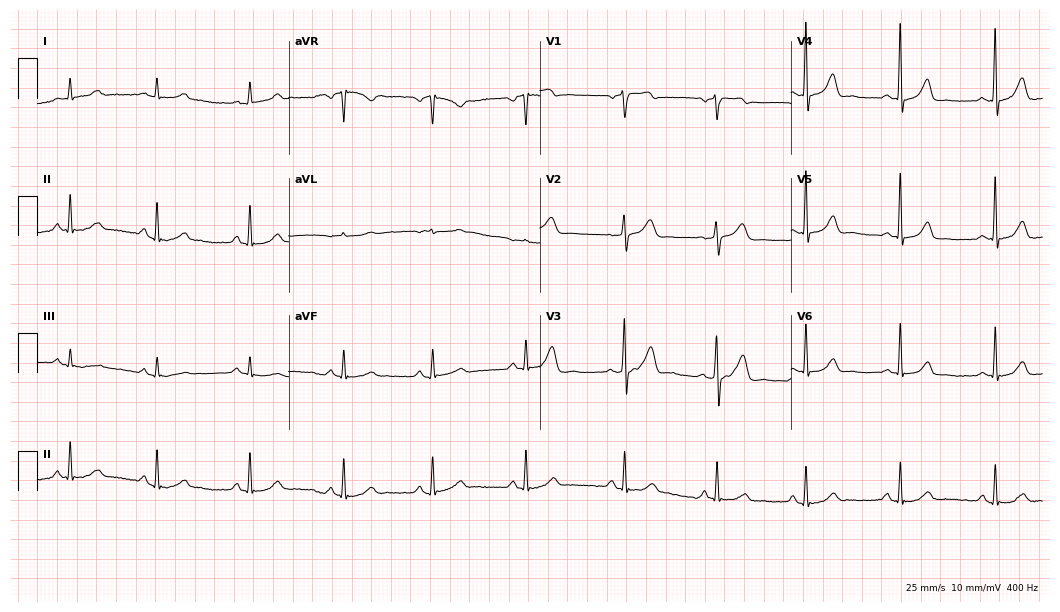
Electrocardiogram (10.2-second recording at 400 Hz), a woman, 64 years old. Overall reading on record: normal ECG.